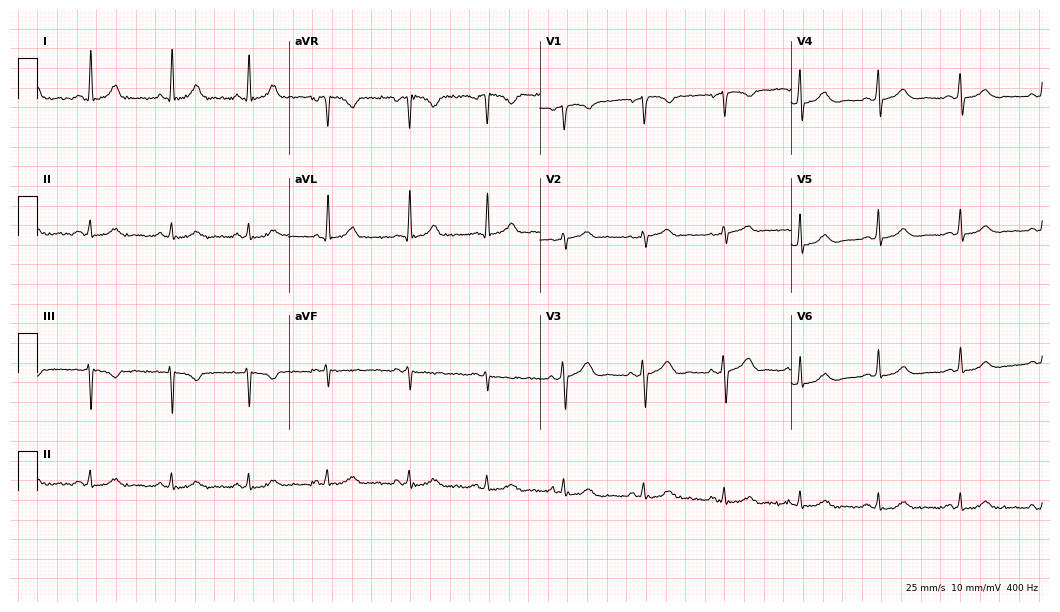
Standard 12-lead ECG recorded from a female patient, 40 years old (10.2-second recording at 400 Hz). Read as a normal ECG.